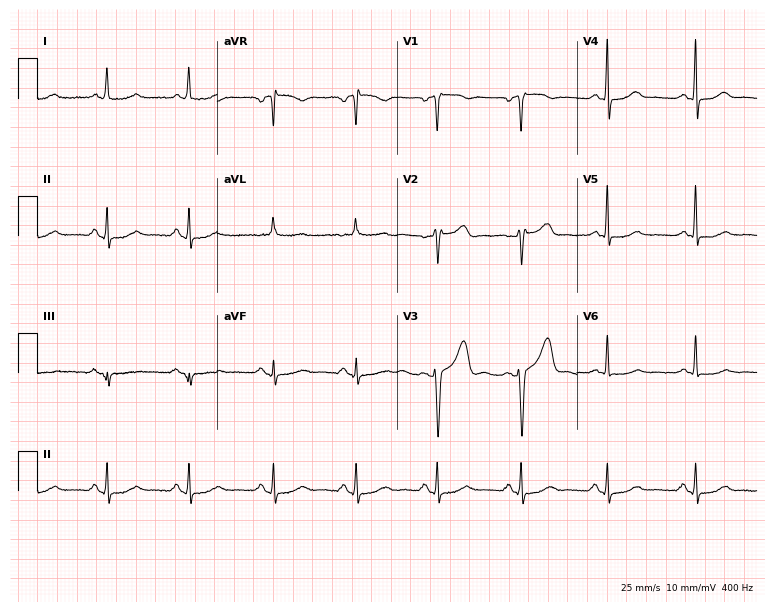
Resting 12-lead electrocardiogram (7.3-second recording at 400 Hz). Patient: a 53-year-old female. Read as a normal ECG.